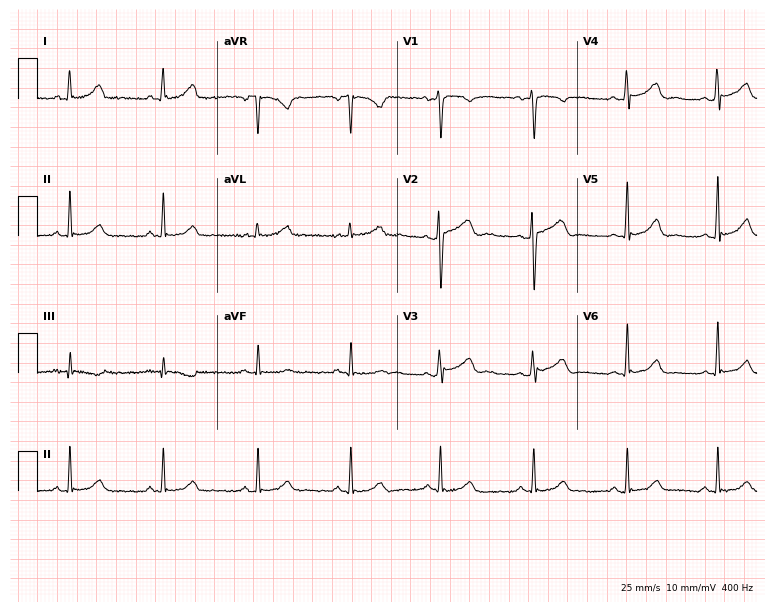
12-lead ECG from a female patient, 49 years old. Screened for six findings — first-degree AV block, right bundle branch block, left bundle branch block, sinus bradycardia, atrial fibrillation, sinus tachycardia — none is recorded. Other findings, if any, are not listed.